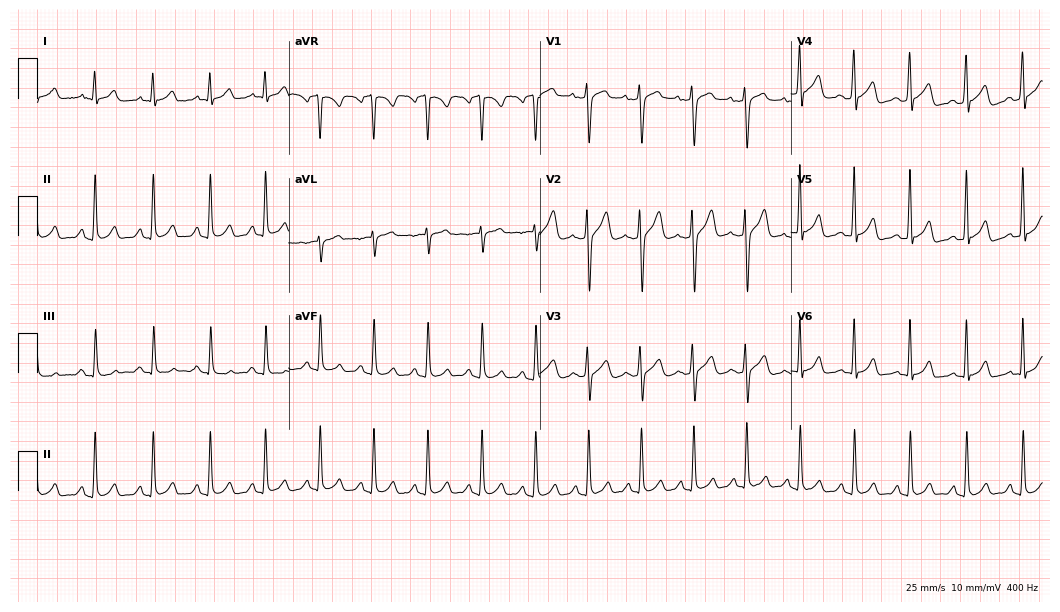
Electrocardiogram, a male, 27 years old. Interpretation includes sinus tachycardia (a sinus rate of 100 beats per minute or more).